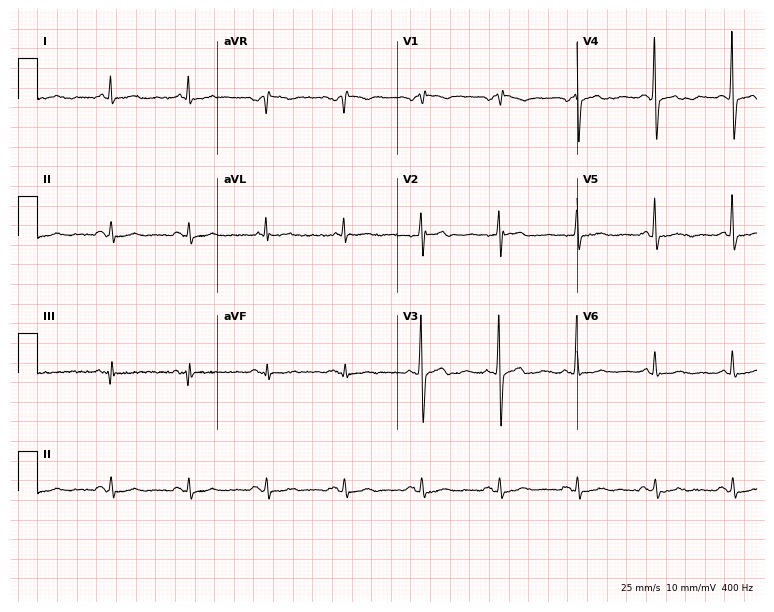
Resting 12-lead electrocardiogram (7.3-second recording at 400 Hz). Patient: a male, 81 years old. None of these six findings is recorded: first-degree AV block, right bundle branch block (RBBB), left bundle branch block (LBBB), sinus bradycardia, atrial fibrillation (AF), sinus tachycardia.